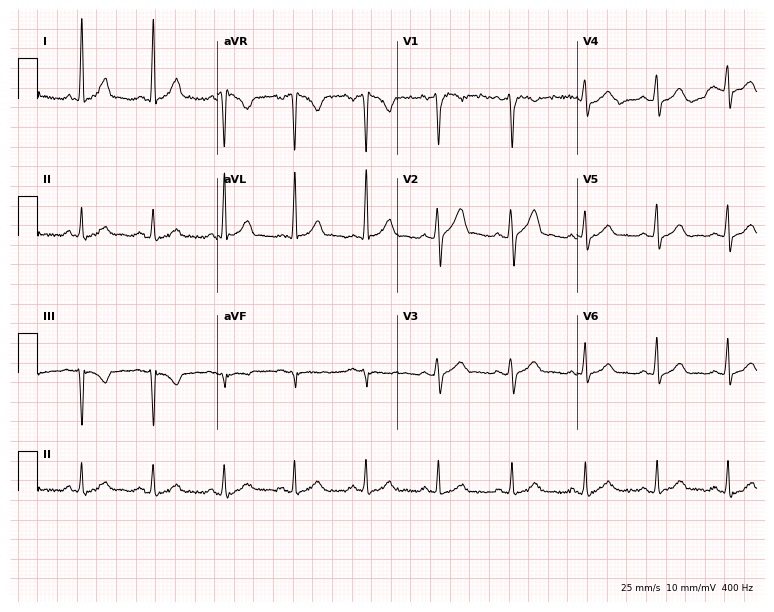
12-lead ECG from a male patient, 34 years old. Labelled as a normal ECG.